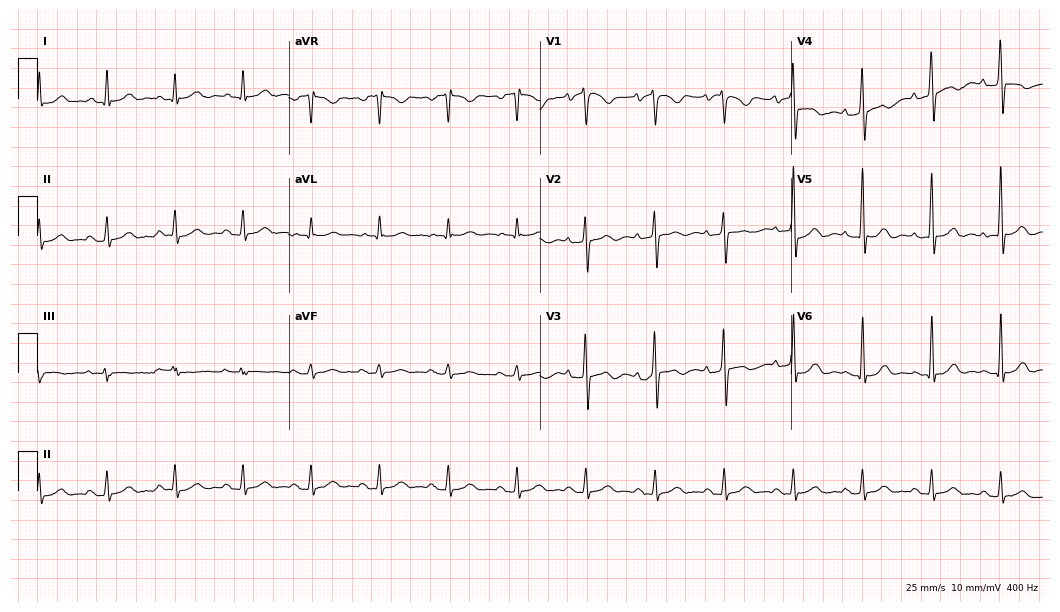
12-lead ECG from a 76-year-old male patient (10.2-second recording at 400 Hz). No first-degree AV block, right bundle branch block, left bundle branch block, sinus bradycardia, atrial fibrillation or sinus tachycardia recorded for this tracing. Only these six findings were labelled.